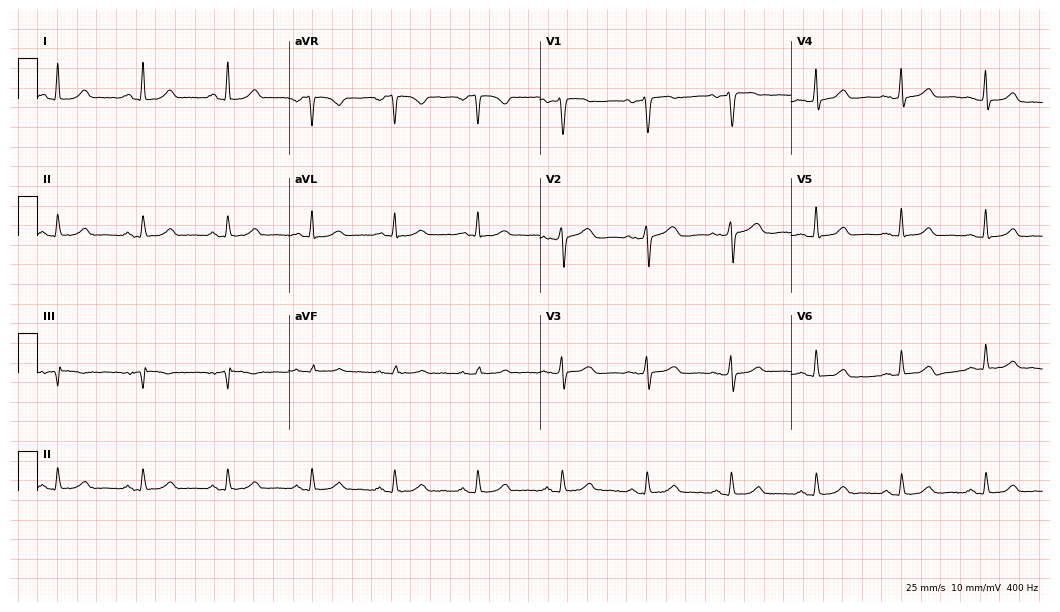
12-lead ECG from a 57-year-old woman. Recorded interpretation: within normal limits.